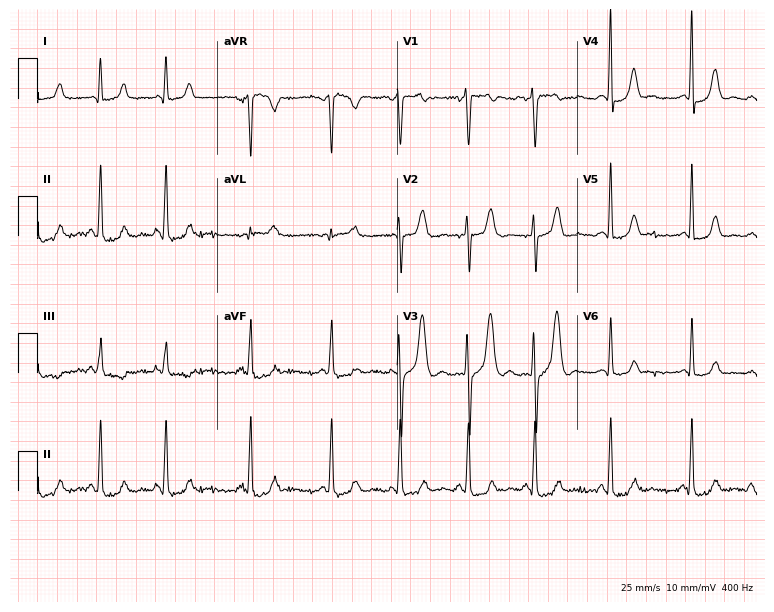
ECG (7.3-second recording at 400 Hz) — an 18-year-old female. Screened for six findings — first-degree AV block, right bundle branch block (RBBB), left bundle branch block (LBBB), sinus bradycardia, atrial fibrillation (AF), sinus tachycardia — none is recorded. Findings outside these six are not listed.